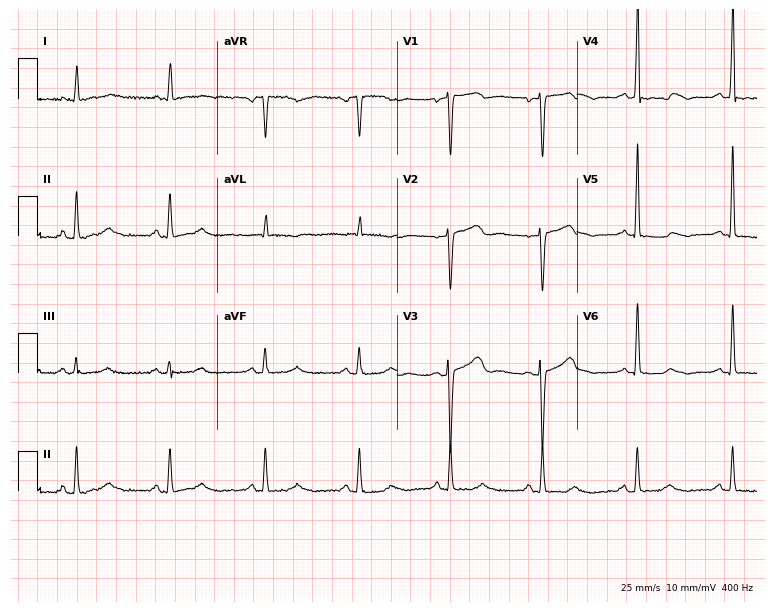
12-lead ECG from a woman, 68 years old (7.3-second recording at 400 Hz). No first-degree AV block, right bundle branch block, left bundle branch block, sinus bradycardia, atrial fibrillation or sinus tachycardia recorded for this tracing. Findings outside these six are not listed.